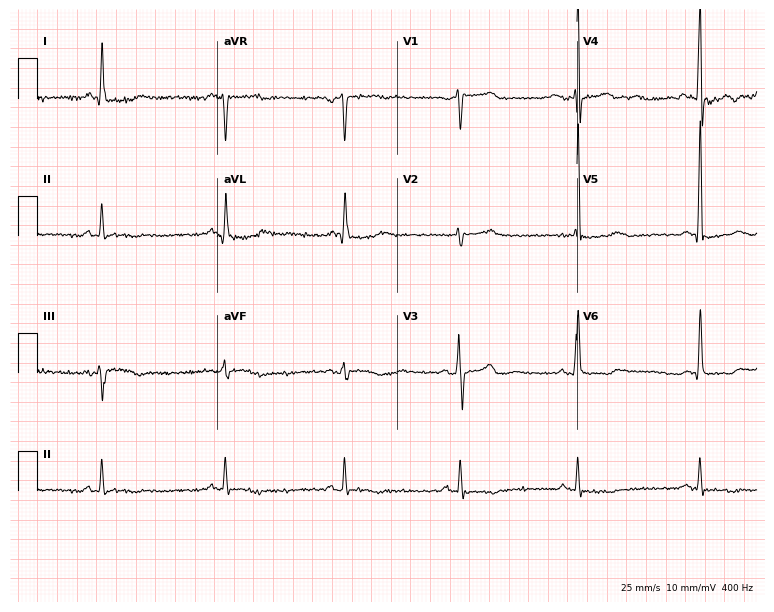
Standard 12-lead ECG recorded from a male patient, 60 years old (7.3-second recording at 400 Hz). The tracing shows sinus bradycardia (a sinus rate of 50 beats per minute or less).